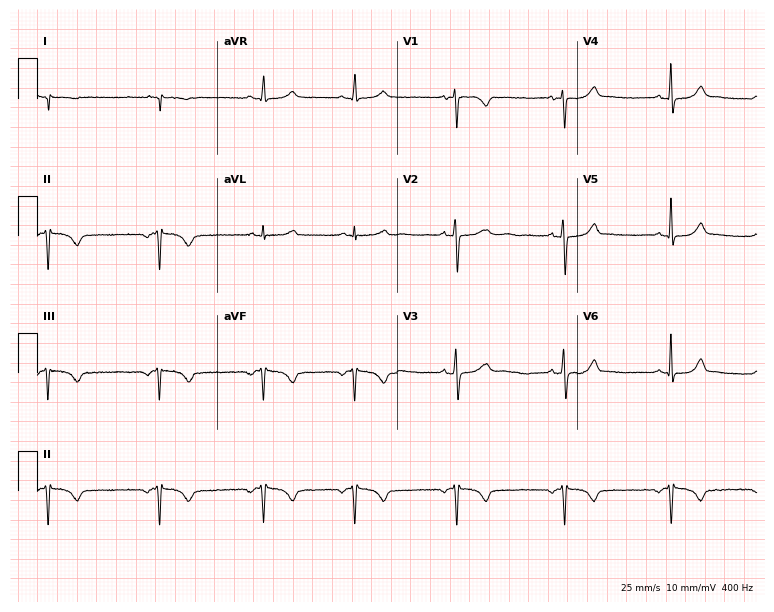
ECG (7.3-second recording at 400 Hz) — a female patient, 30 years old. Screened for six findings — first-degree AV block, right bundle branch block, left bundle branch block, sinus bradycardia, atrial fibrillation, sinus tachycardia — none is recorded.